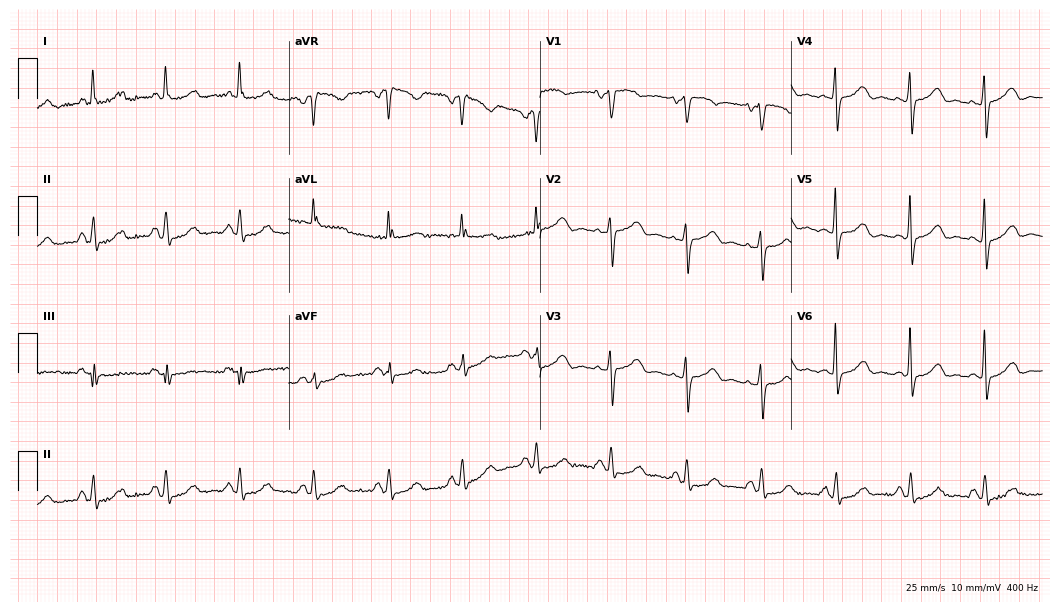
Electrocardiogram, a 71-year-old female. Of the six screened findings (first-degree AV block, right bundle branch block, left bundle branch block, sinus bradycardia, atrial fibrillation, sinus tachycardia), none is recorded. Other findings, if any, are not listed.